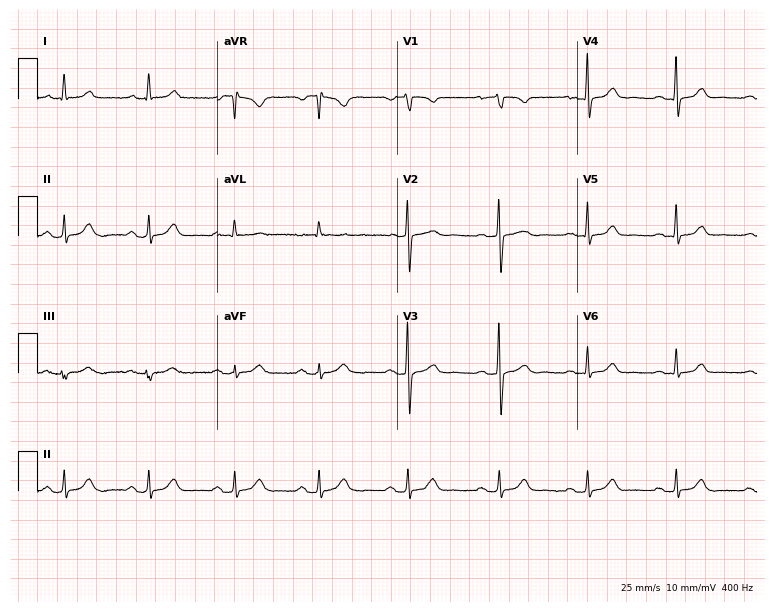
Standard 12-lead ECG recorded from a female patient, 57 years old. Read as a normal ECG.